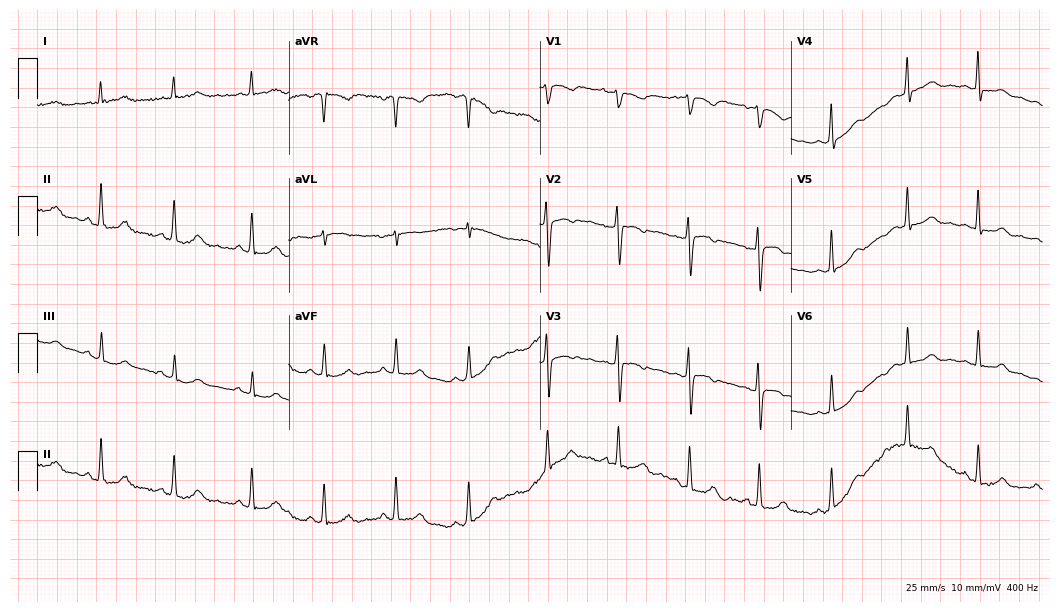
Standard 12-lead ECG recorded from a 34-year-old woman. None of these six findings is recorded: first-degree AV block, right bundle branch block, left bundle branch block, sinus bradycardia, atrial fibrillation, sinus tachycardia. Findings outside these six are not listed.